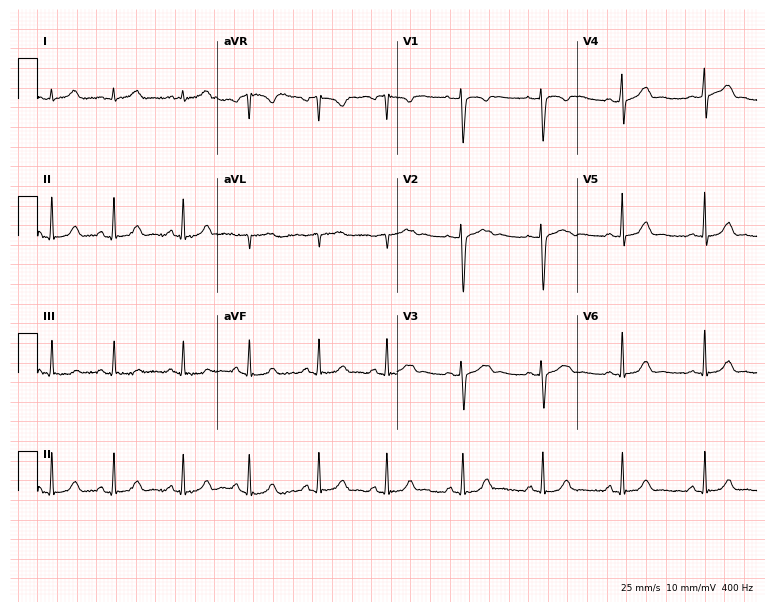
ECG — a 38-year-old female. Screened for six findings — first-degree AV block, right bundle branch block, left bundle branch block, sinus bradycardia, atrial fibrillation, sinus tachycardia — none is recorded. Findings outside these six are not listed.